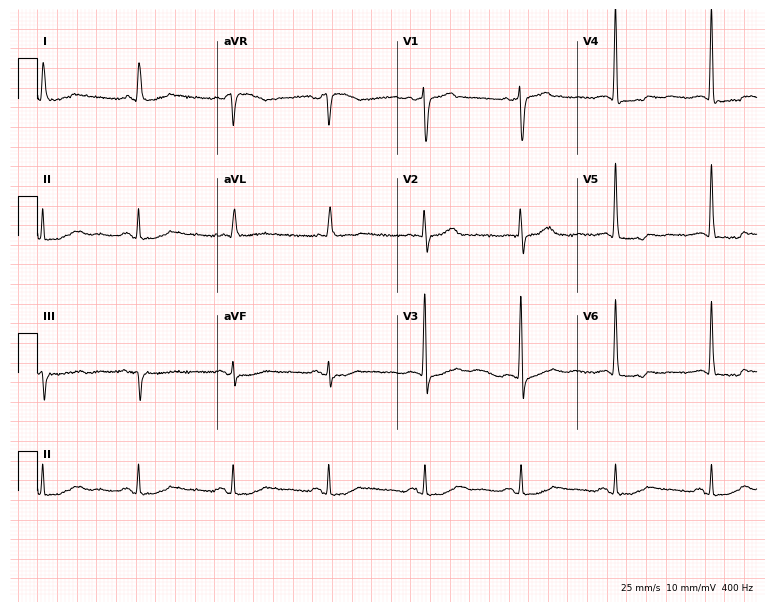
Resting 12-lead electrocardiogram (7.3-second recording at 400 Hz). Patient: an 85-year-old female. None of these six findings is recorded: first-degree AV block, right bundle branch block, left bundle branch block, sinus bradycardia, atrial fibrillation, sinus tachycardia. Only these six findings were labelled.